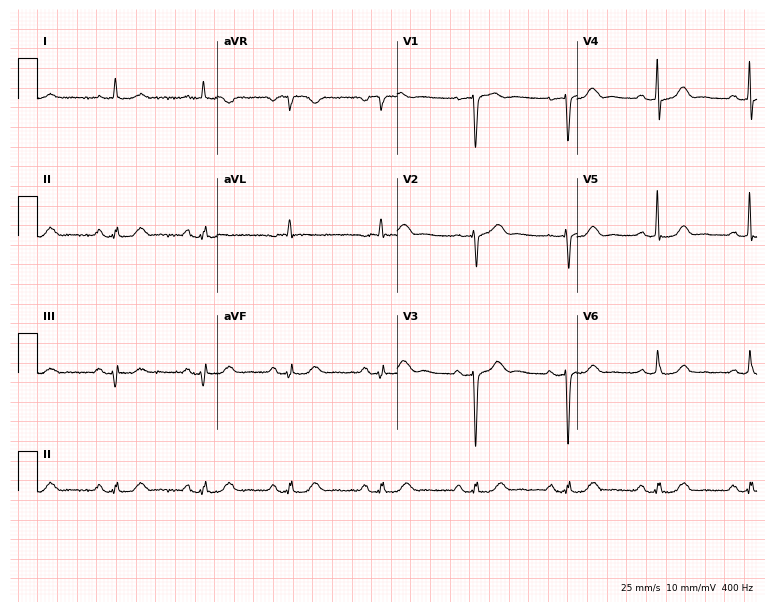
Electrocardiogram, a woman, 85 years old. Of the six screened findings (first-degree AV block, right bundle branch block, left bundle branch block, sinus bradycardia, atrial fibrillation, sinus tachycardia), none is recorded. Only these six findings were labelled.